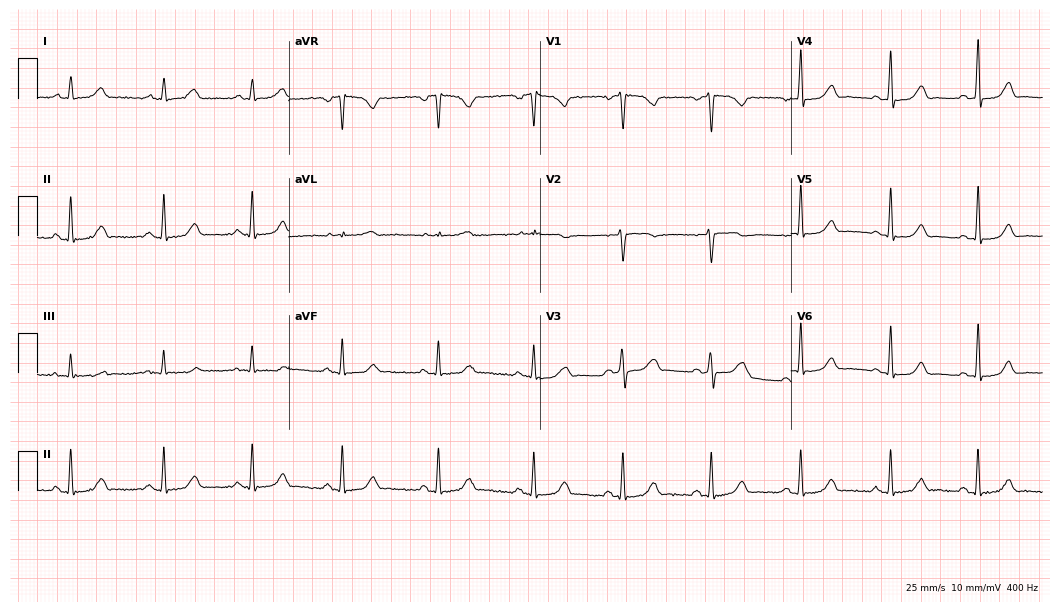
Electrocardiogram, a 27-year-old female. Overall reading on record: normal ECG.